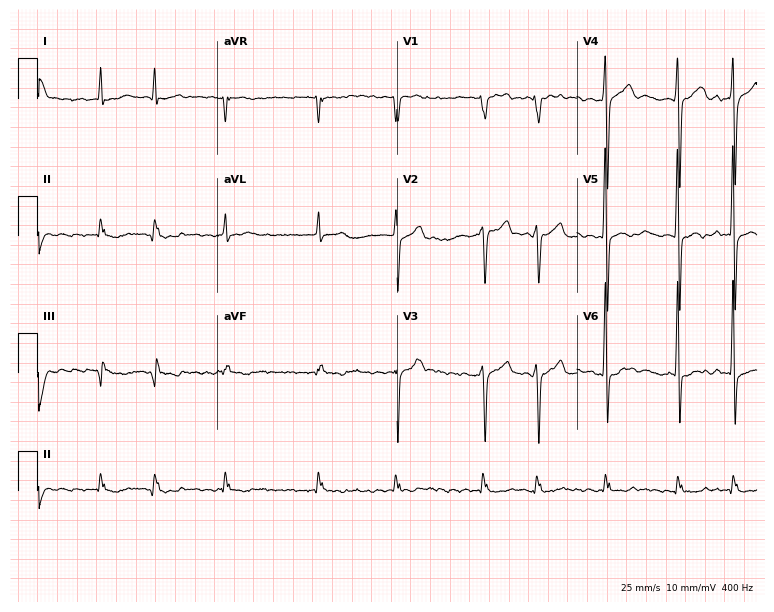
ECG (7.3-second recording at 400 Hz) — a male patient, 69 years old. Findings include atrial fibrillation.